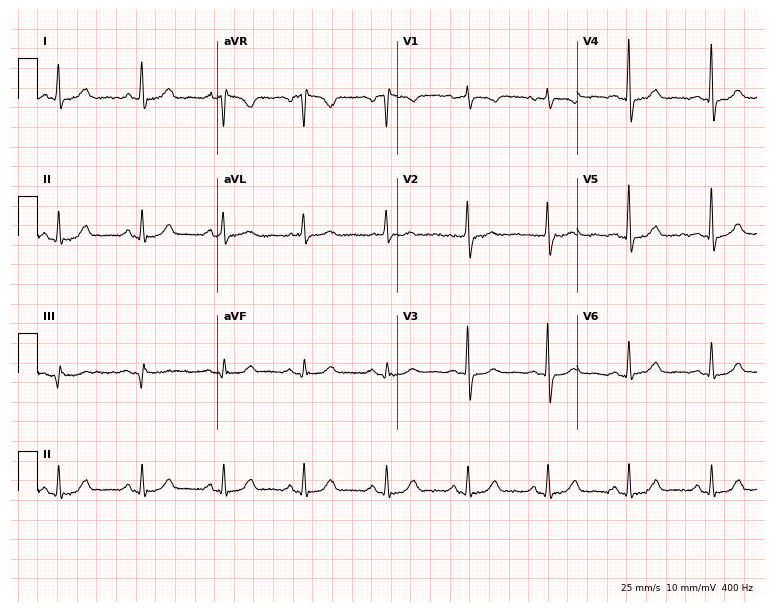
Electrocardiogram (7.3-second recording at 400 Hz), a female, 60 years old. Of the six screened findings (first-degree AV block, right bundle branch block (RBBB), left bundle branch block (LBBB), sinus bradycardia, atrial fibrillation (AF), sinus tachycardia), none is recorded.